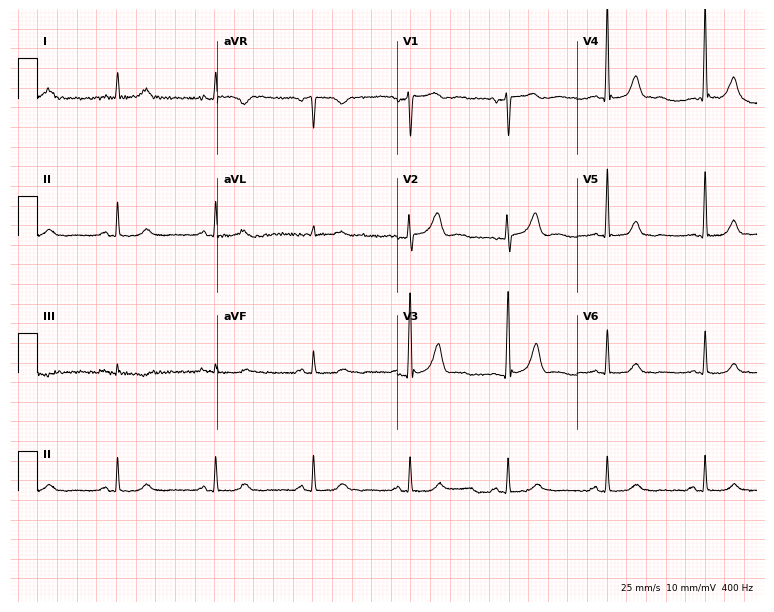
Electrocardiogram (7.3-second recording at 400 Hz), a male patient, 84 years old. Of the six screened findings (first-degree AV block, right bundle branch block, left bundle branch block, sinus bradycardia, atrial fibrillation, sinus tachycardia), none is recorded. Only these six findings were labelled.